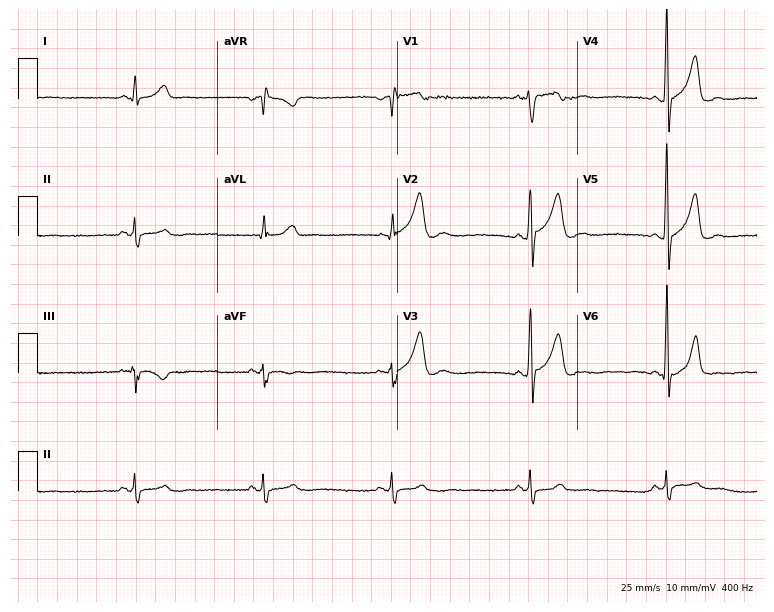
12-lead ECG (7.3-second recording at 400 Hz) from a 29-year-old male. Findings include sinus bradycardia (a sinus rate of 50 beats per minute or less).